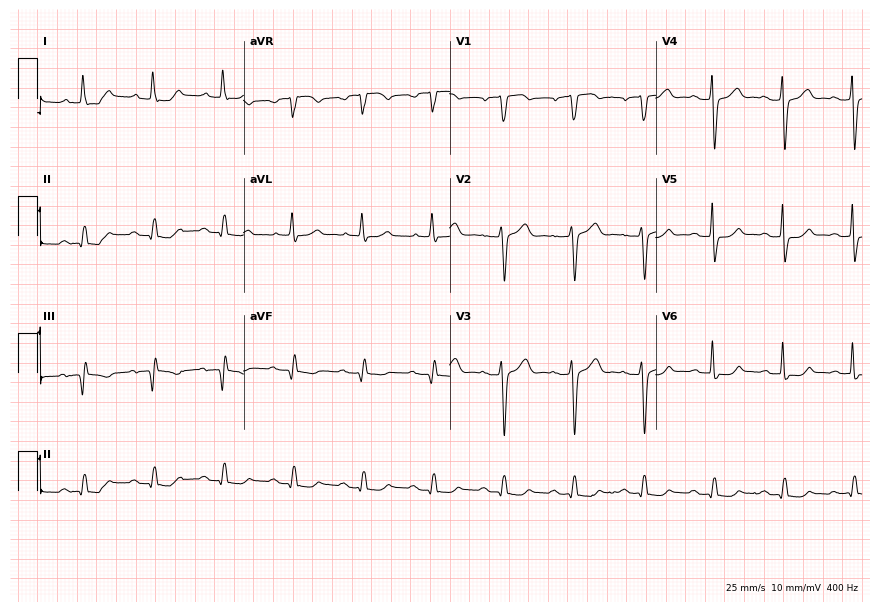
12-lead ECG from a male, 79 years old (8.4-second recording at 400 Hz). No first-degree AV block, right bundle branch block, left bundle branch block, sinus bradycardia, atrial fibrillation or sinus tachycardia recorded for this tracing. Findings outside these six are not listed.